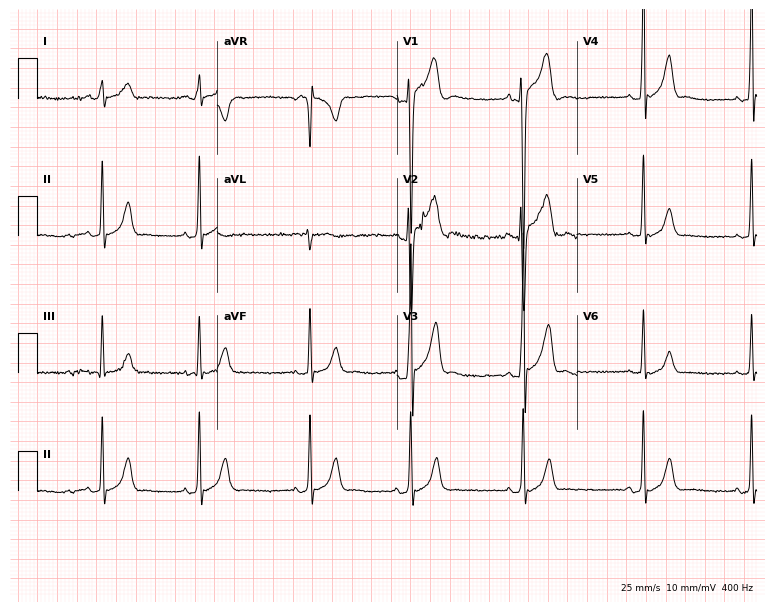
Electrocardiogram, a male patient, 19 years old. Overall reading on record: normal ECG.